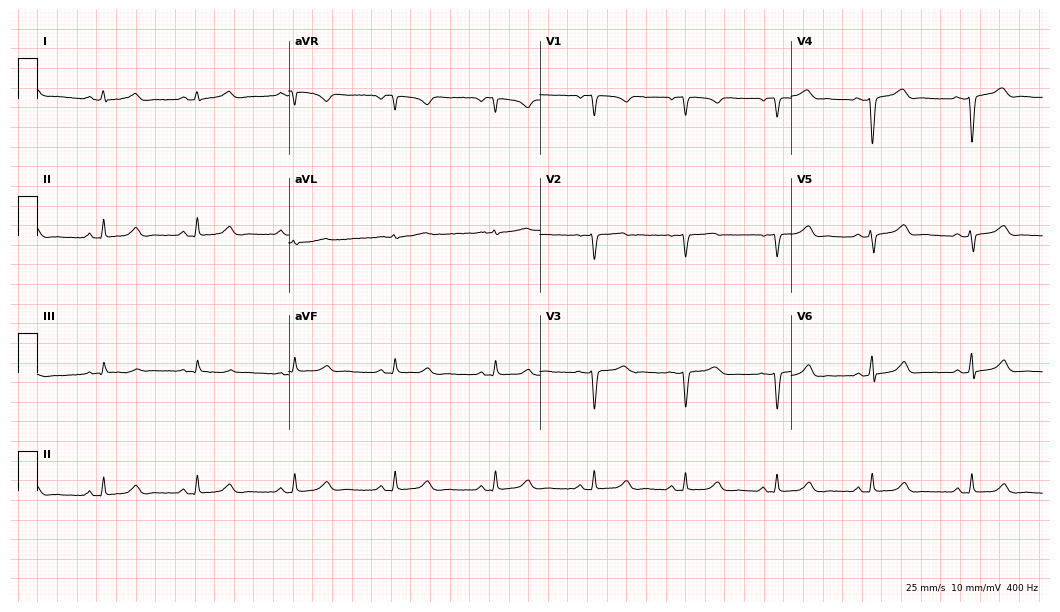
12-lead ECG (10.2-second recording at 400 Hz) from a male, 51 years old. Screened for six findings — first-degree AV block, right bundle branch block, left bundle branch block, sinus bradycardia, atrial fibrillation, sinus tachycardia — none is recorded.